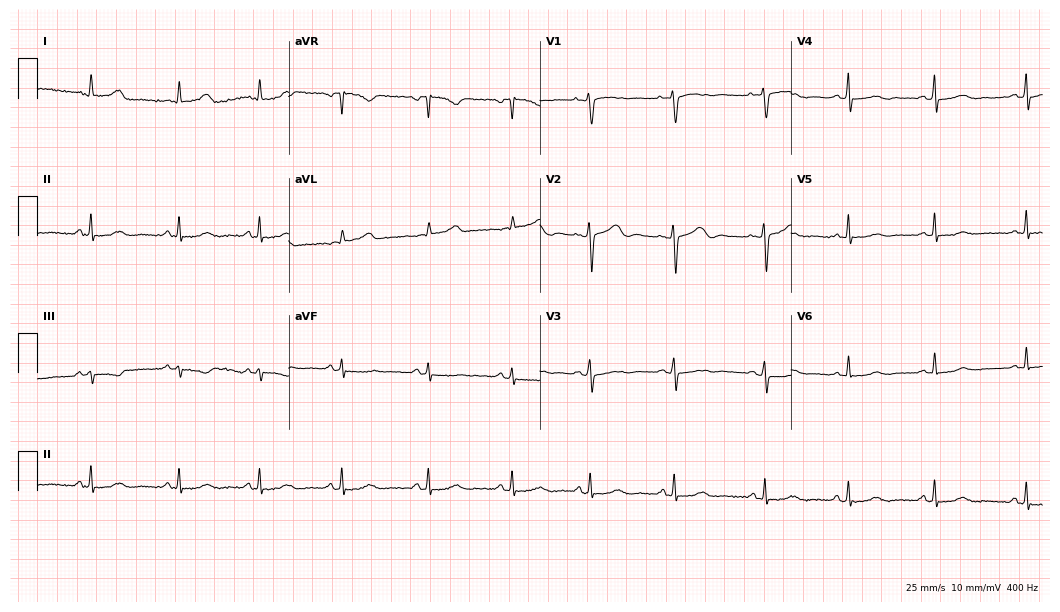
Resting 12-lead electrocardiogram. Patient: a 49-year-old woman. Read as a normal ECG.